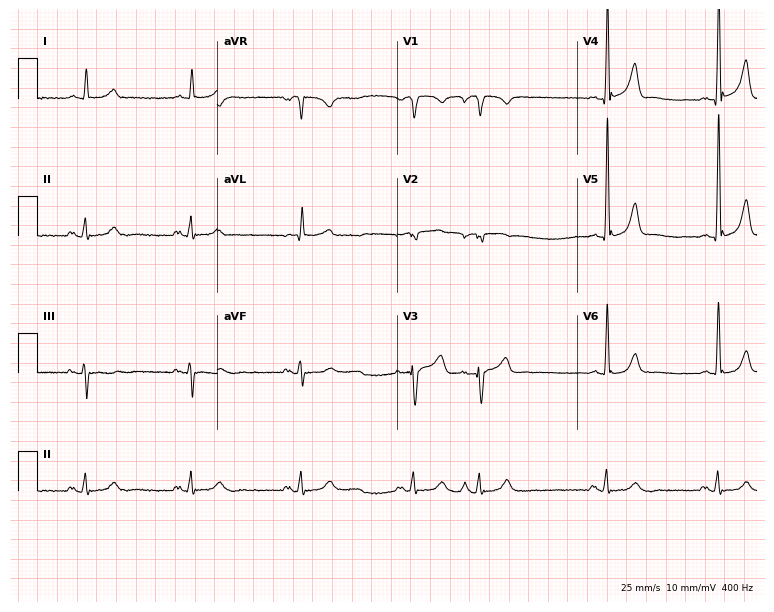
Resting 12-lead electrocardiogram (7.3-second recording at 400 Hz). Patient: a 72-year-old man. None of these six findings is recorded: first-degree AV block, right bundle branch block, left bundle branch block, sinus bradycardia, atrial fibrillation, sinus tachycardia. Other findings, if any, are not listed.